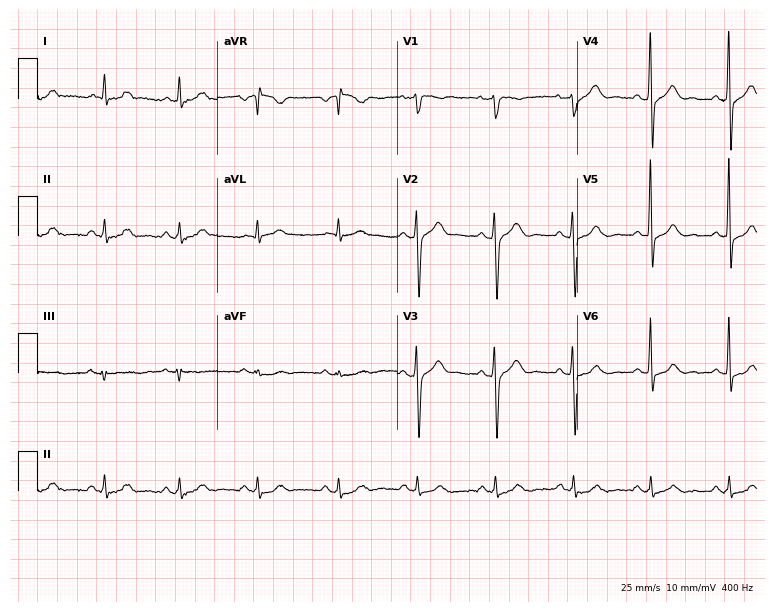
12-lead ECG from a 37-year-old male. Recorded interpretation: within normal limits.